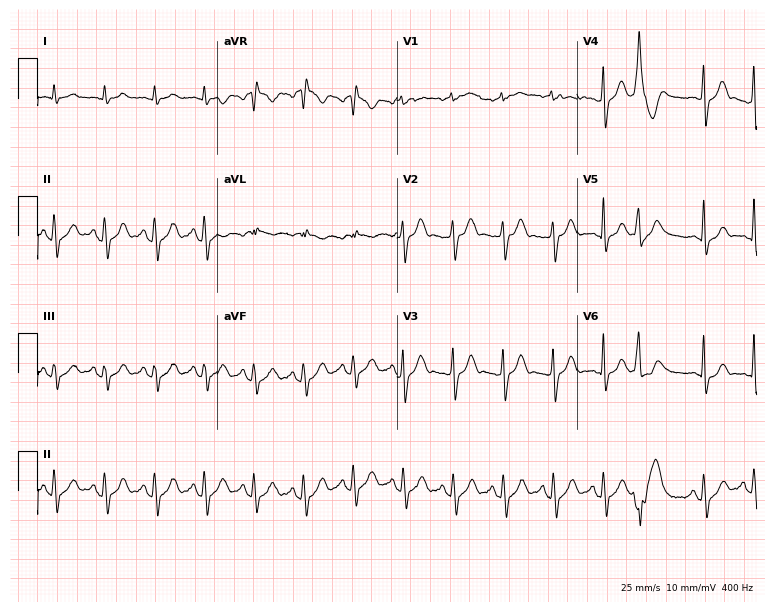
12-lead ECG from a male patient, 61 years old (7.3-second recording at 400 Hz). Shows sinus tachycardia (a sinus rate of 100 beats per minute or more).